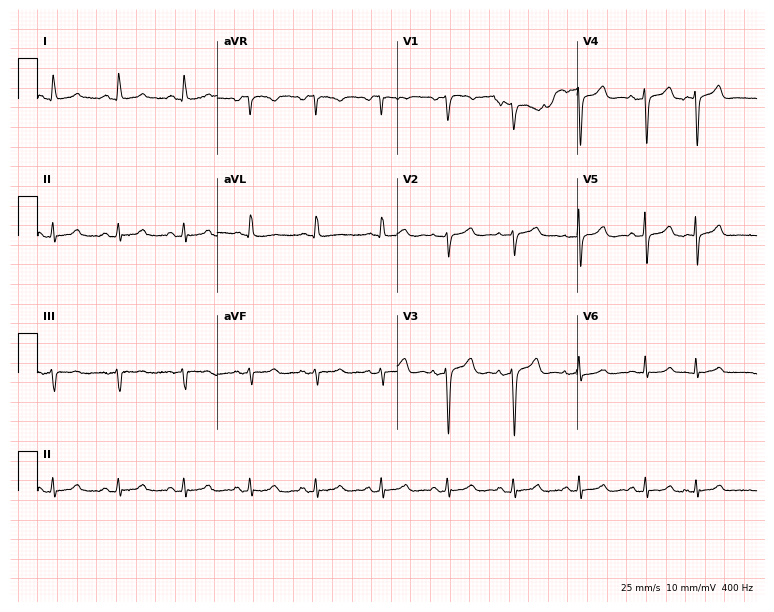
Electrocardiogram (7.3-second recording at 400 Hz), a 61-year-old female patient. Of the six screened findings (first-degree AV block, right bundle branch block (RBBB), left bundle branch block (LBBB), sinus bradycardia, atrial fibrillation (AF), sinus tachycardia), none is recorded. Findings outside these six are not listed.